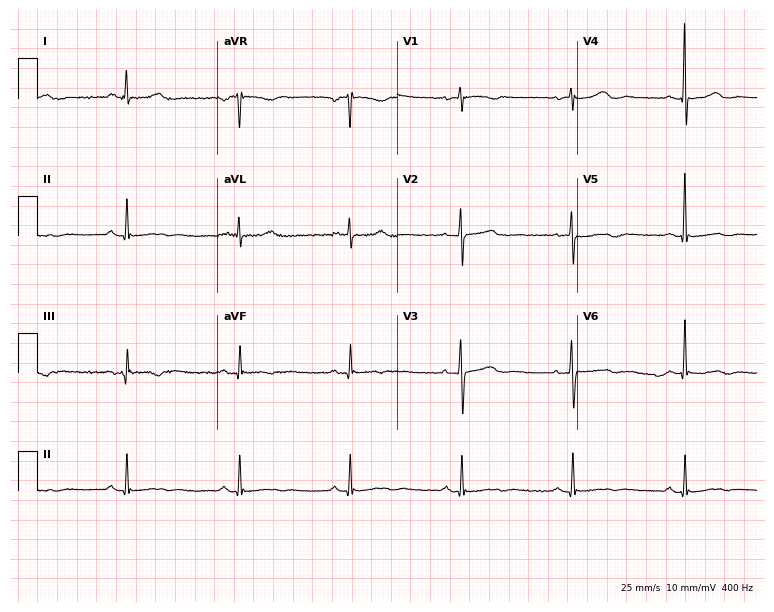
ECG — a female patient, 75 years old. Screened for six findings — first-degree AV block, right bundle branch block, left bundle branch block, sinus bradycardia, atrial fibrillation, sinus tachycardia — none is recorded.